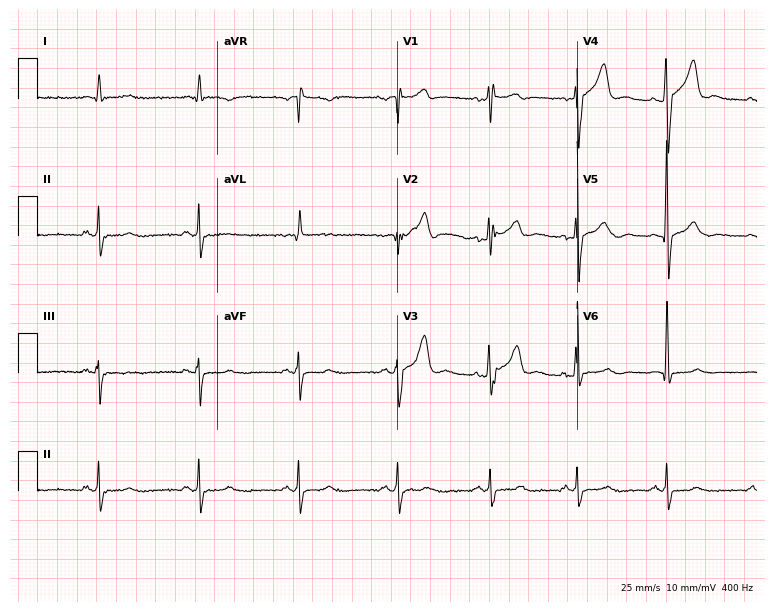
Electrocardiogram (7.3-second recording at 400 Hz), a 41-year-old man. Overall reading on record: normal ECG.